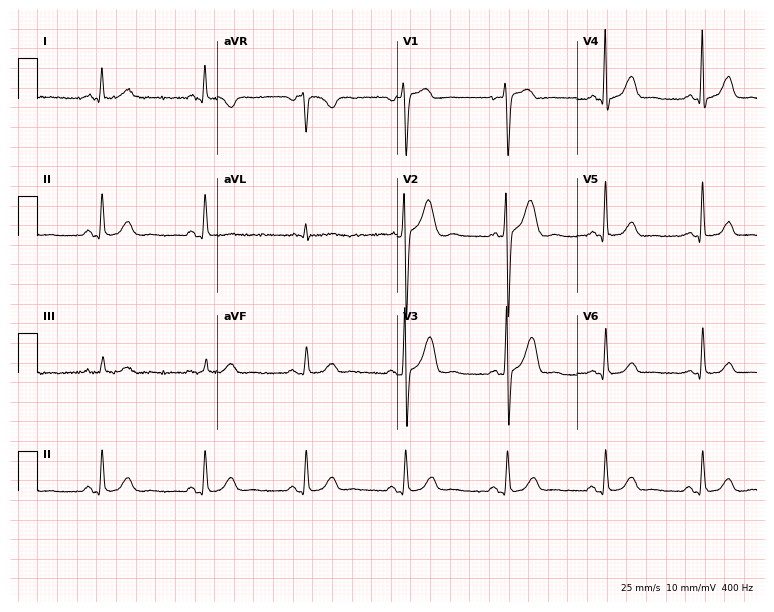
Standard 12-lead ECG recorded from a woman, 60 years old. Read as a normal ECG.